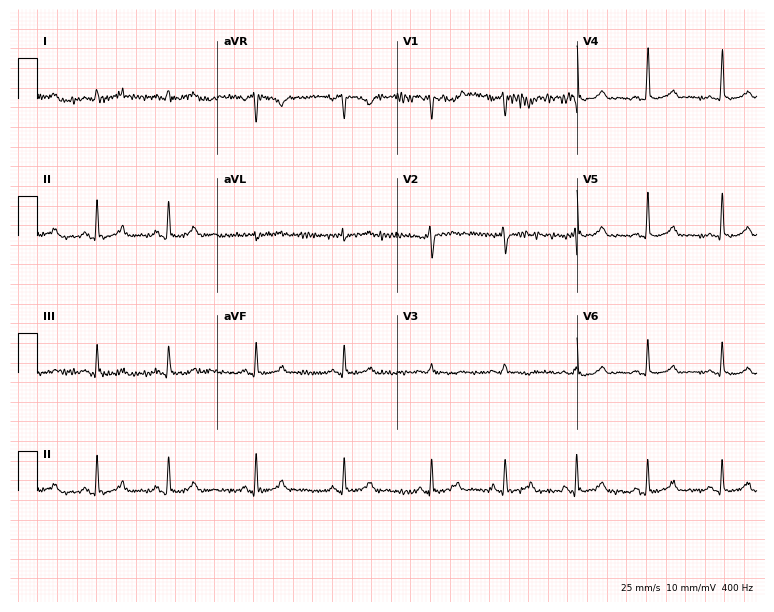
Standard 12-lead ECG recorded from a female, 42 years old (7.3-second recording at 400 Hz). Read as a normal ECG.